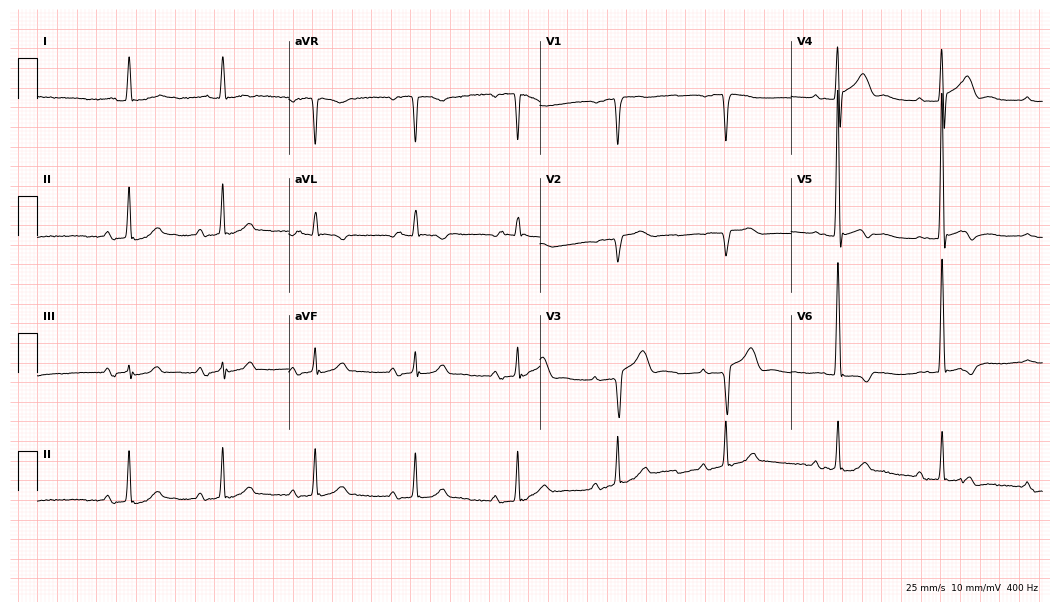
Standard 12-lead ECG recorded from a man, 66 years old (10.2-second recording at 400 Hz). The tracing shows first-degree AV block.